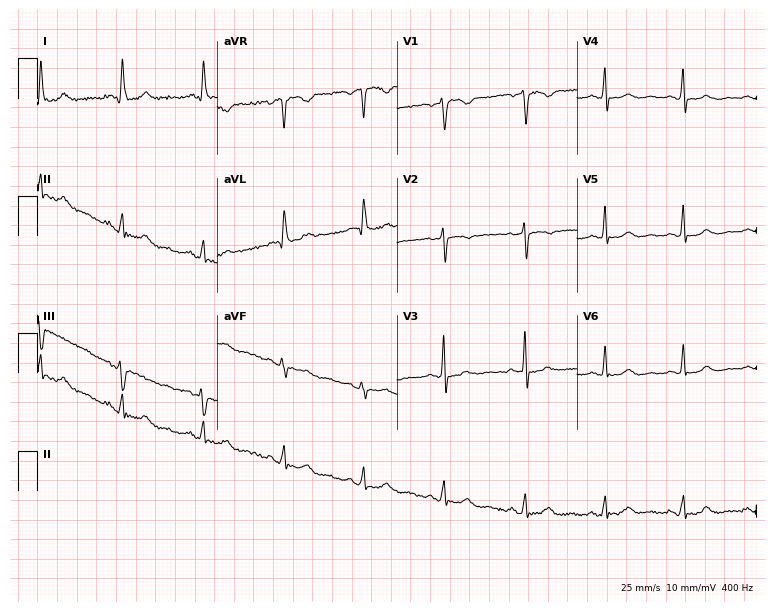
Resting 12-lead electrocardiogram. Patient: a 65-year-old woman. None of these six findings is recorded: first-degree AV block, right bundle branch block, left bundle branch block, sinus bradycardia, atrial fibrillation, sinus tachycardia. Only these six findings were labelled.